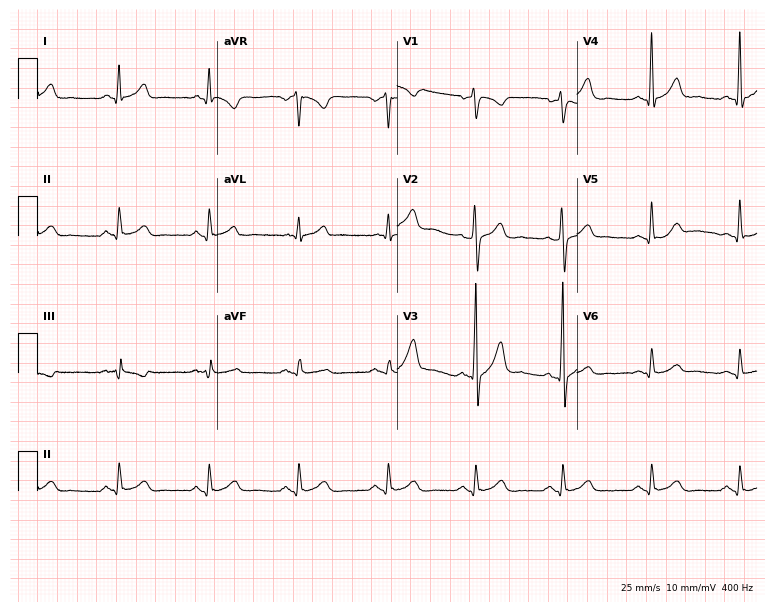
Resting 12-lead electrocardiogram (7.3-second recording at 400 Hz). Patient: a male, 46 years old. Read as a normal ECG.